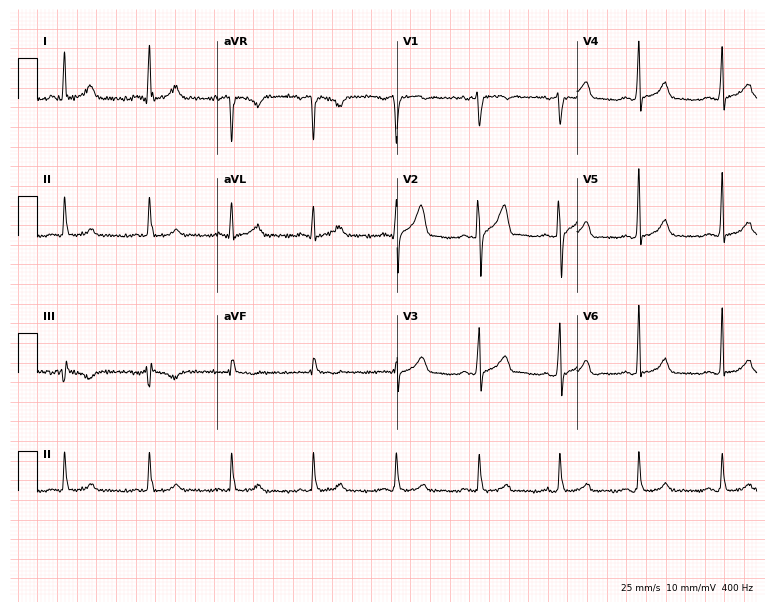
12-lead ECG from a 36-year-old man. Recorded interpretation: within normal limits.